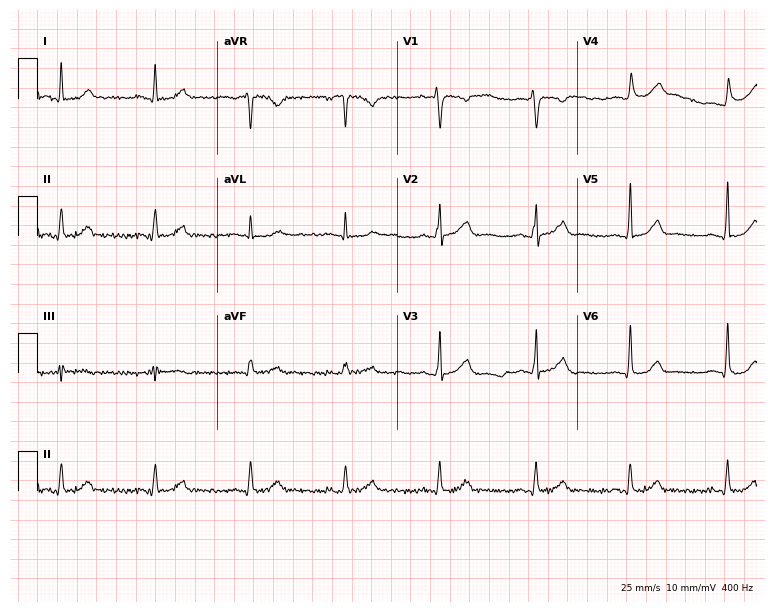
Standard 12-lead ECG recorded from a 43-year-old woman. Read as a normal ECG.